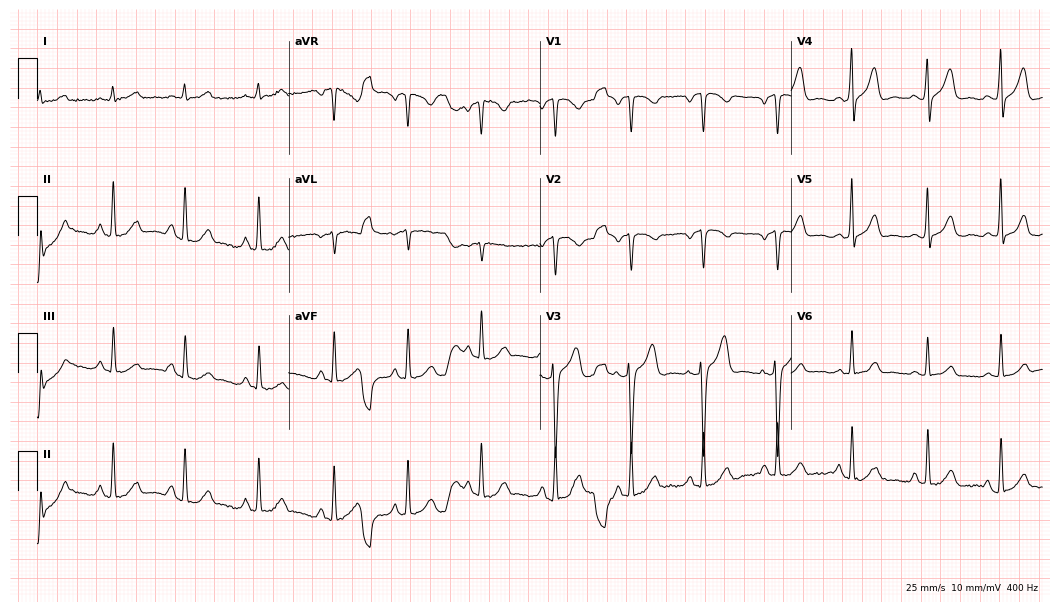
12-lead ECG from a man, 62 years old. Labelled as a normal ECG.